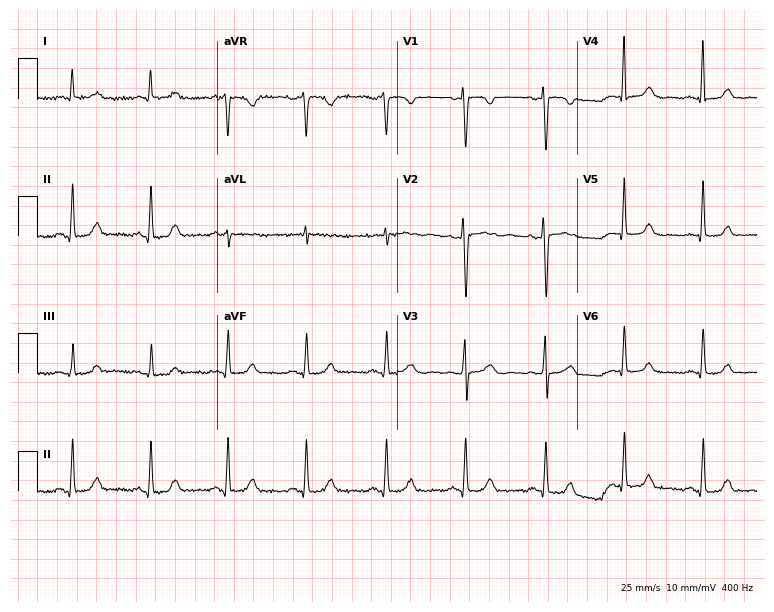
ECG — a 55-year-old female. Labelled as a normal ECG.